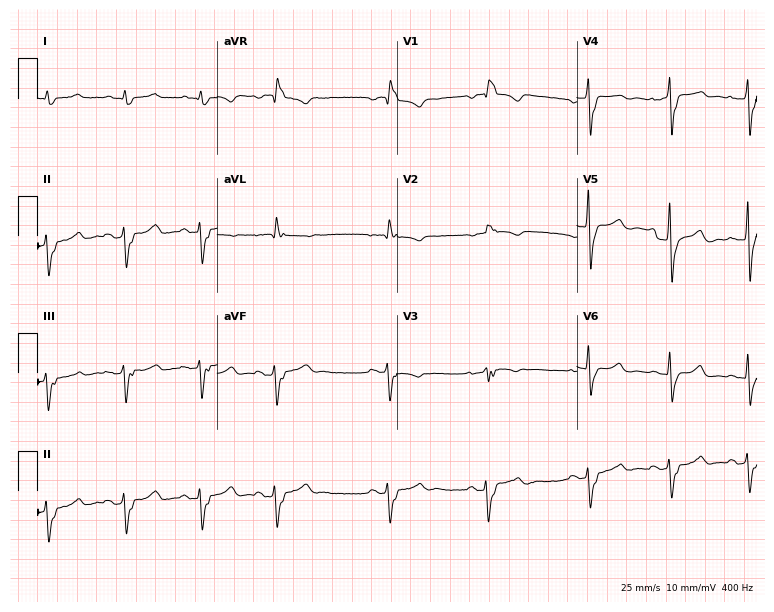
Standard 12-lead ECG recorded from a 56-year-old male (7.3-second recording at 400 Hz). The tracing shows right bundle branch block.